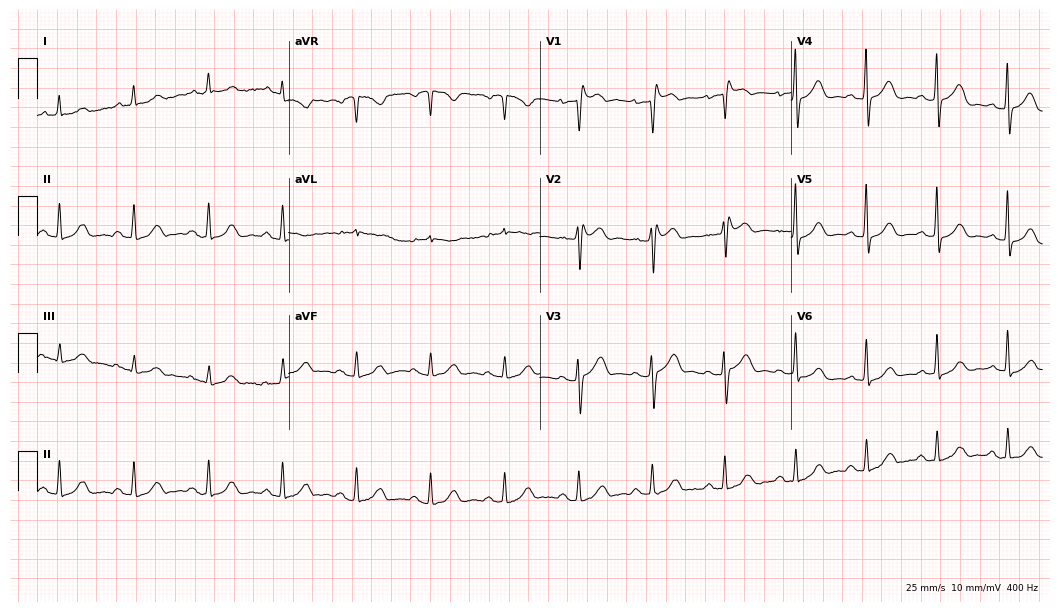
12-lead ECG from a female, 72 years old (10.2-second recording at 400 Hz). No first-degree AV block, right bundle branch block, left bundle branch block, sinus bradycardia, atrial fibrillation or sinus tachycardia recorded for this tracing.